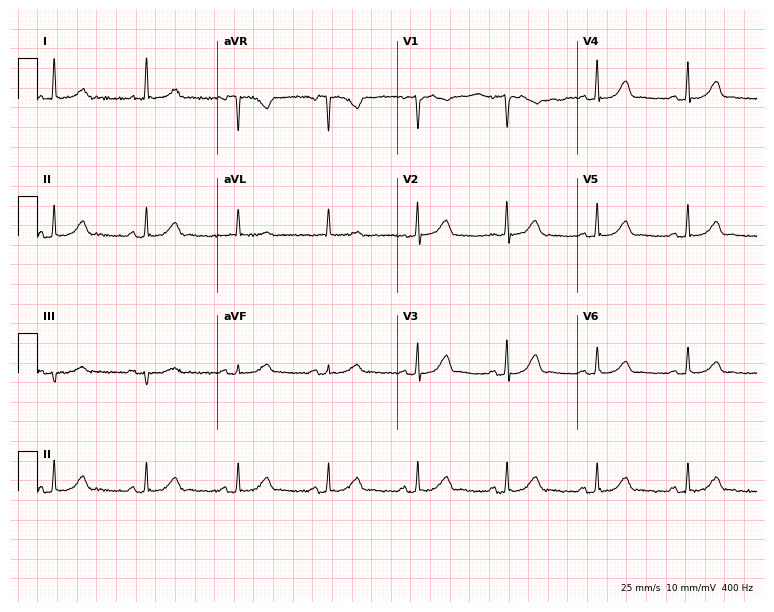
12-lead ECG (7.3-second recording at 400 Hz) from a 72-year-old female. Screened for six findings — first-degree AV block, right bundle branch block, left bundle branch block, sinus bradycardia, atrial fibrillation, sinus tachycardia — none is recorded.